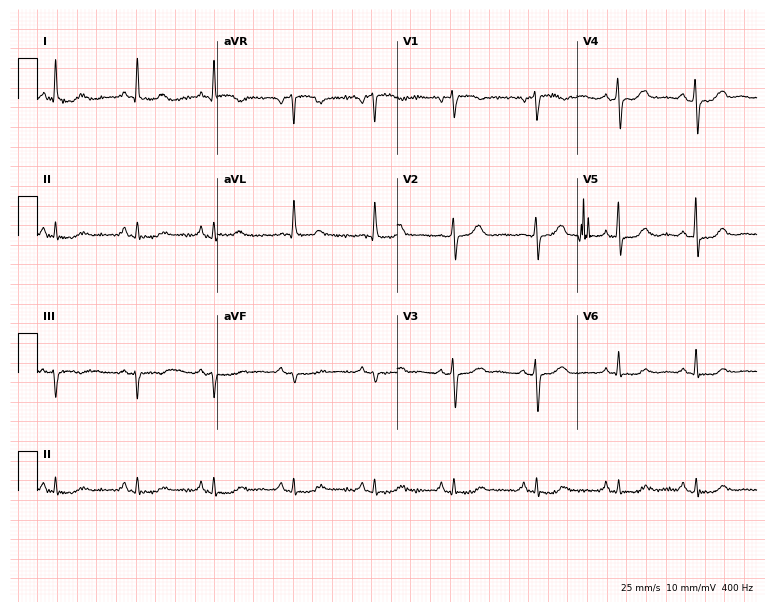
Electrocardiogram, a woman, 77 years old. Of the six screened findings (first-degree AV block, right bundle branch block (RBBB), left bundle branch block (LBBB), sinus bradycardia, atrial fibrillation (AF), sinus tachycardia), none is recorded. Only these six findings were labelled.